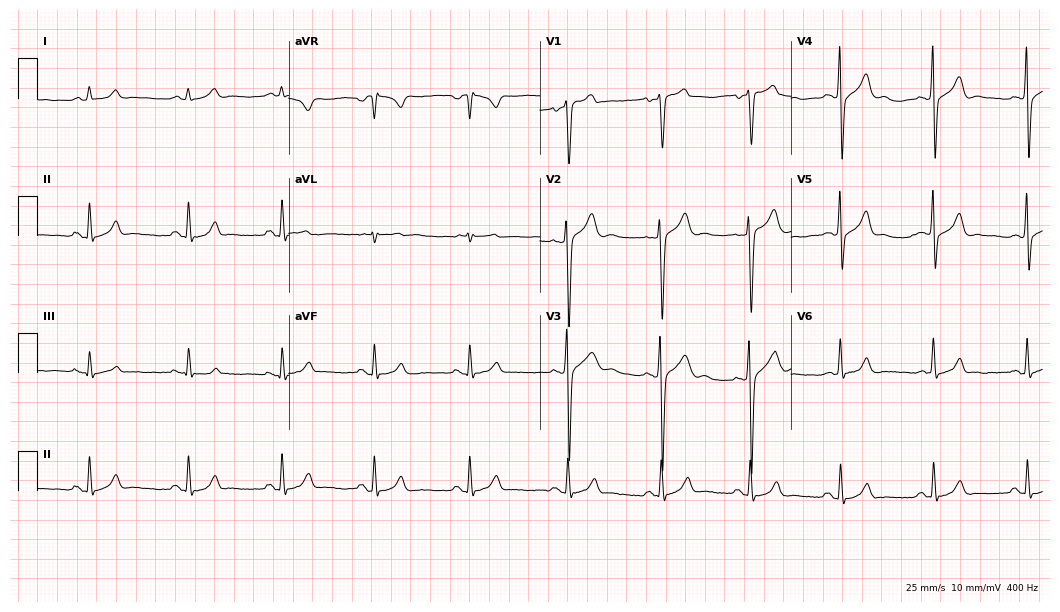
Electrocardiogram (10.2-second recording at 400 Hz), a 40-year-old male patient. Overall reading on record: normal ECG.